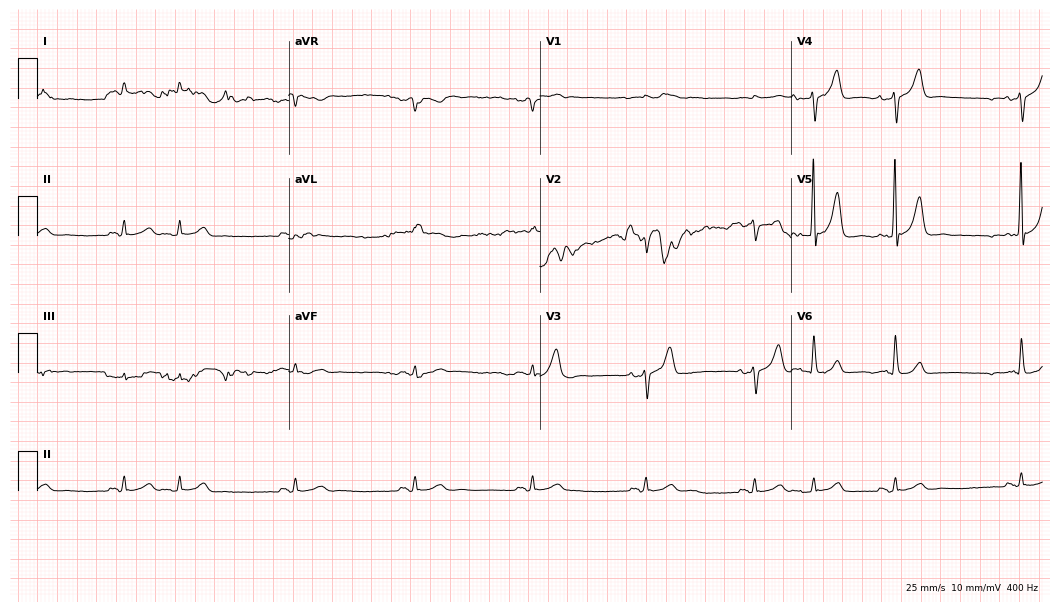
12-lead ECG from a 62-year-old male patient. No first-degree AV block, right bundle branch block (RBBB), left bundle branch block (LBBB), sinus bradycardia, atrial fibrillation (AF) or sinus tachycardia recorded for this tracing. Other findings, if any, are not listed.